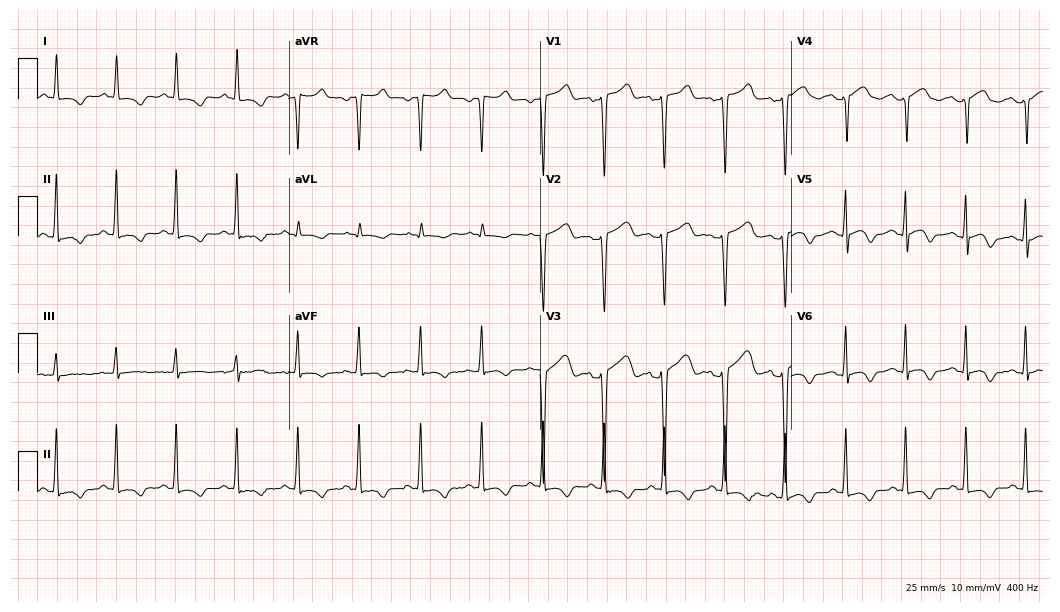
Electrocardiogram (10.2-second recording at 400 Hz), a woman, 39 years old. Of the six screened findings (first-degree AV block, right bundle branch block, left bundle branch block, sinus bradycardia, atrial fibrillation, sinus tachycardia), none is recorded. Findings outside these six are not listed.